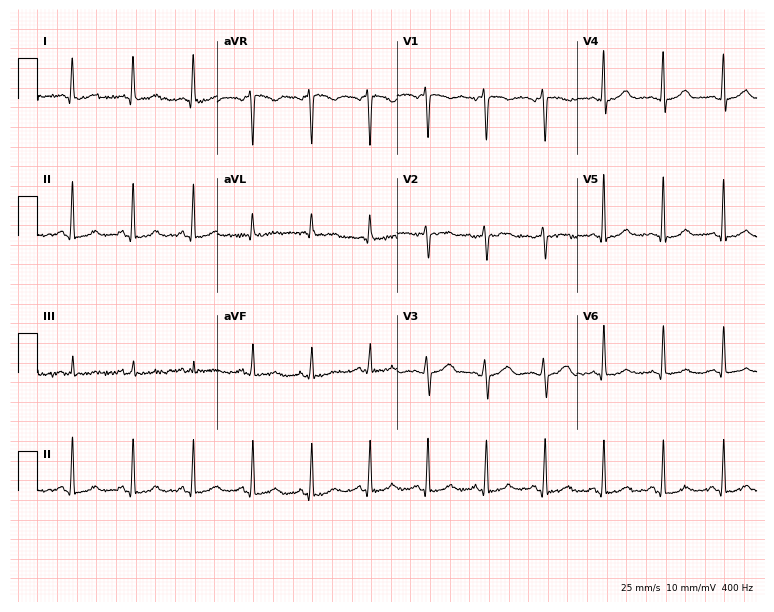
Electrocardiogram (7.3-second recording at 400 Hz), a 38-year-old female. Of the six screened findings (first-degree AV block, right bundle branch block (RBBB), left bundle branch block (LBBB), sinus bradycardia, atrial fibrillation (AF), sinus tachycardia), none is recorded. Only these six findings were labelled.